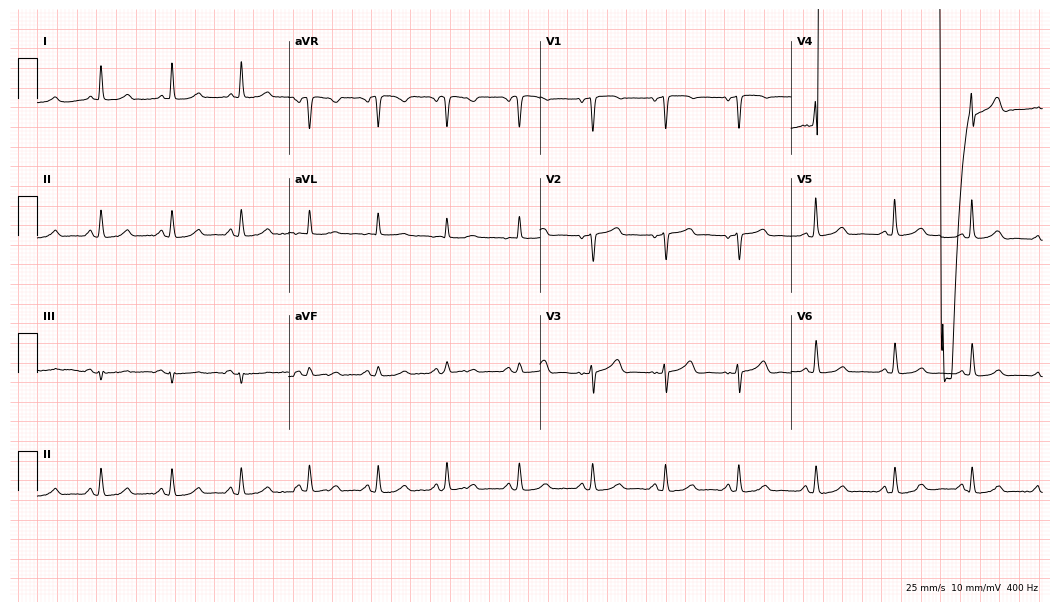
12-lead ECG from a female, 70 years old (10.2-second recording at 400 Hz). No first-degree AV block, right bundle branch block (RBBB), left bundle branch block (LBBB), sinus bradycardia, atrial fibrillation (AF) or sinus tachycardia recorded for this tracing. Findings outside these six are not listed.